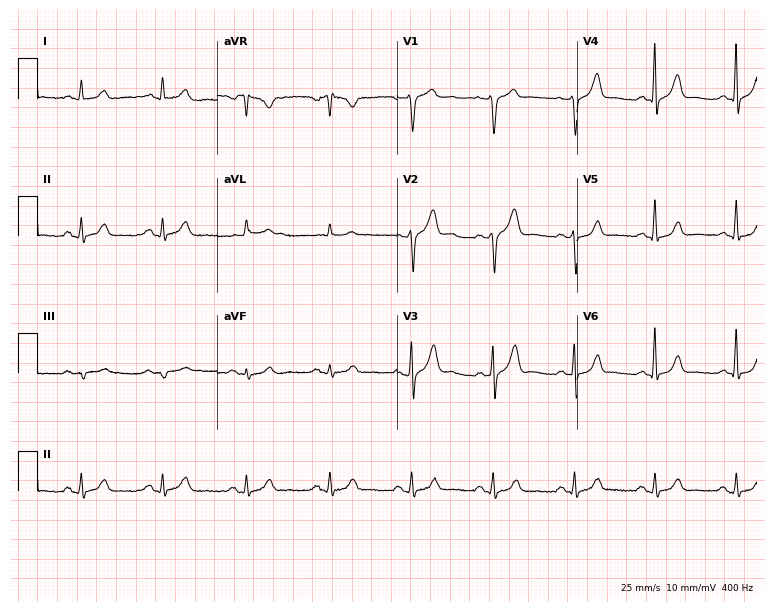
12-lead ECG from a male, 60 years old. Labelled as a normal ECG.